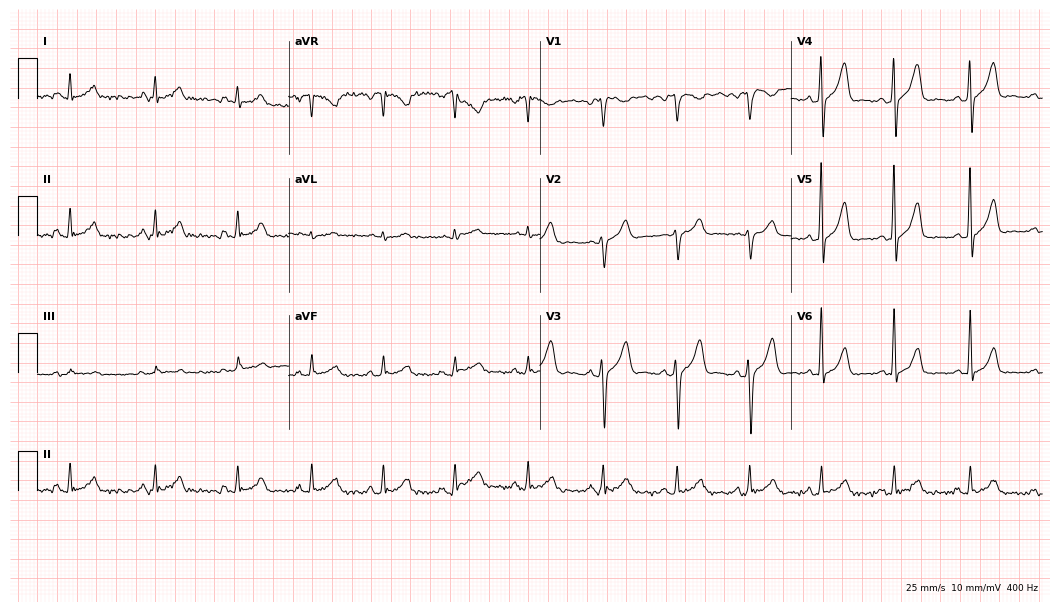
Electrocardiogram, a male patient, 57 years old. Of the six screened findings (first-degree AV block, right bundle branch block, left bundle branch block, sinus bradycardia, atrial fibrillation, sinus tachycardia), none is recorded. Findings outside these six are not listed.